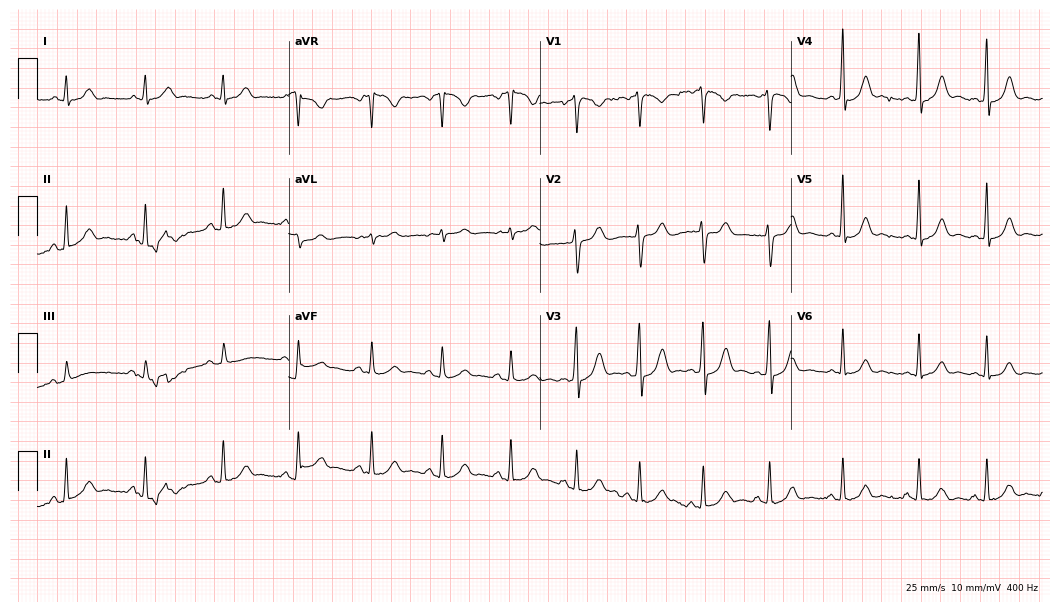
ECG (10.2-second recording at 400 Hz) — a 23-year-old male patient. Labelled as a normal ECG.